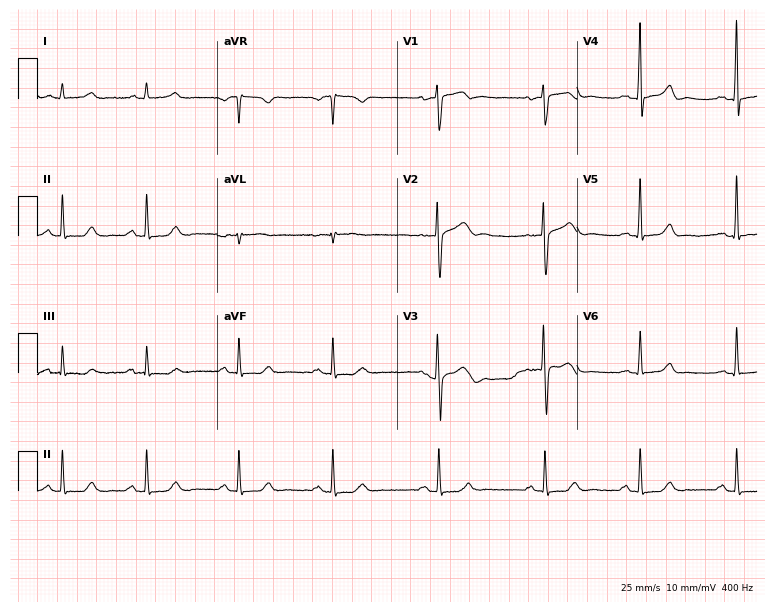
12-lead ECG from a 51-year-old man (7.3-second recording at 400 Hz). No first-degree AV block, right bundle branch block, left bundle branch block, sinus bradycardia, atrial fibrillation or sinus tachycardia recorded for this tracing. Other findings, if any, are not listed.